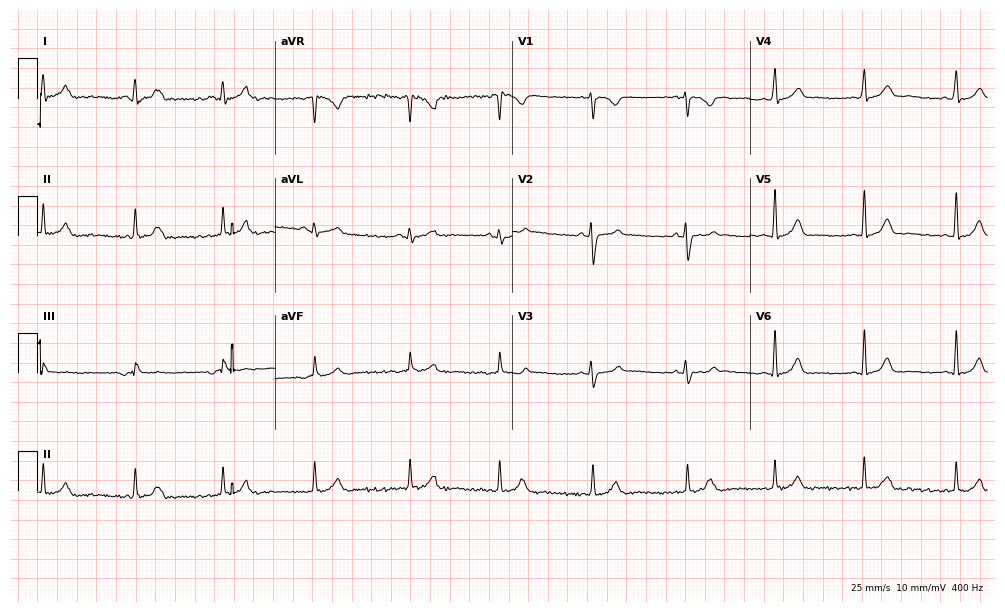
12-lead ECG from a 27-year-old female. Labelled as a normal ECG.